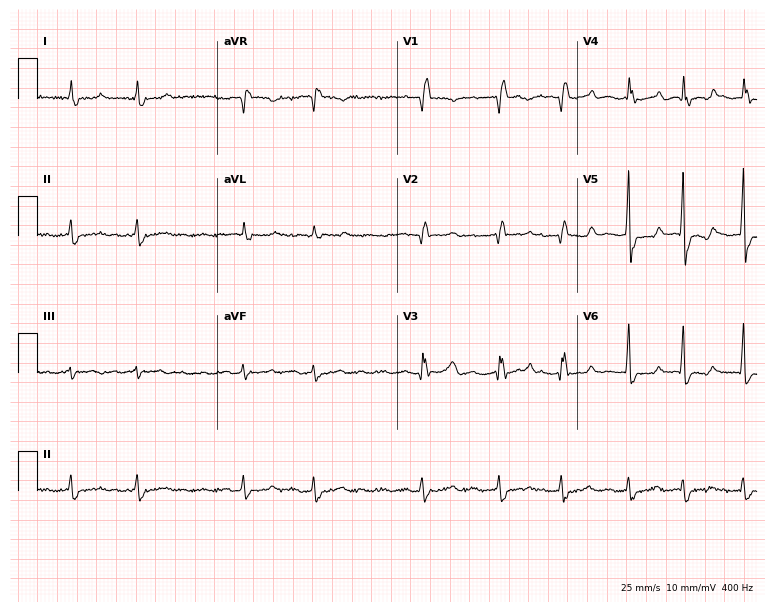
Resting 12-lead electrocardiogram (7.3-second recording at 400 Hz). Patient: a 78-year-old man. The tracing shows right bundle branch block, atrial fibrillation.